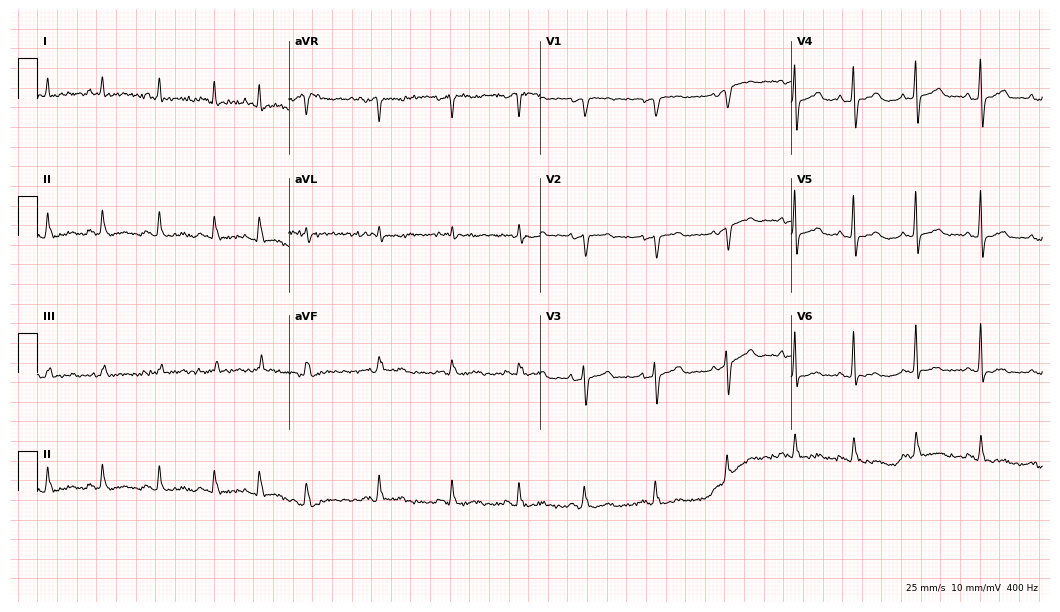
Resting 12-lead electrocardiogram (10.2-second recording at 400 Hz). Patient: a female, 69 years old. None of these six findings is recorded: first-degree AV block, right bundle branch block (RBBB), left bundle branch block (LBBB), sinus bradycardia, atrial fibrillation (AF), sinus tachycardia.